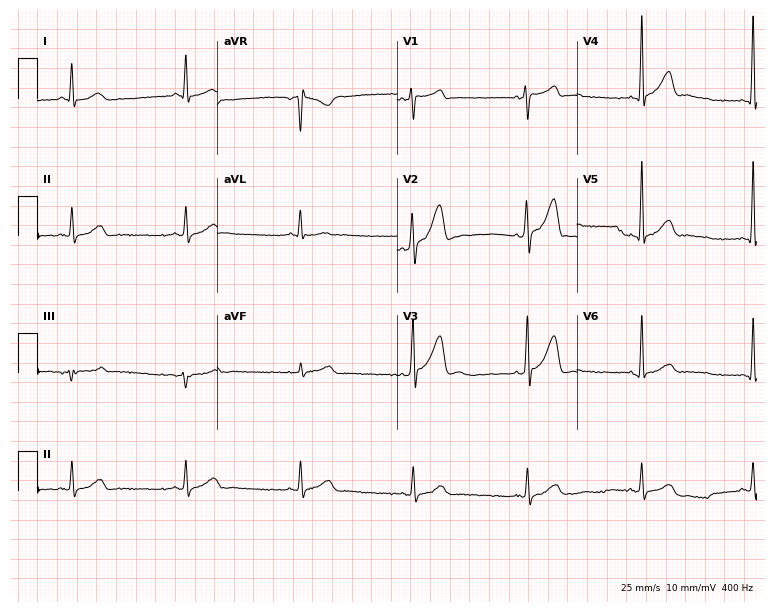
Resting 12-lead electrocardiogram. Patient: a man, 42 years old. None of these six findings is recorded: first-degree AV block, right bundle branch block, left bundle branch block, sinus bradycardia, atrial fibrillation, sinus tachycardia.